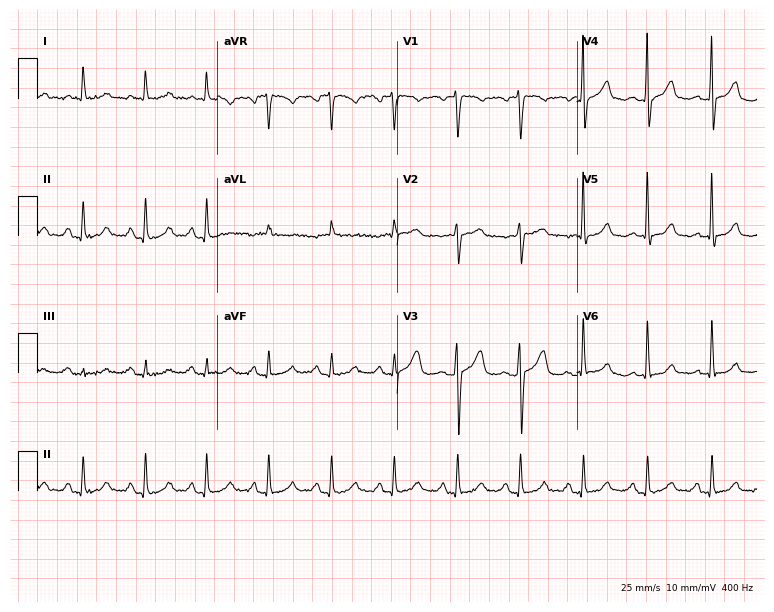
Resting 12-lead electrocardiogram (7.3-second recording at 400 Hz). Patient: a female, 62 years old. Read as a normal ECG.